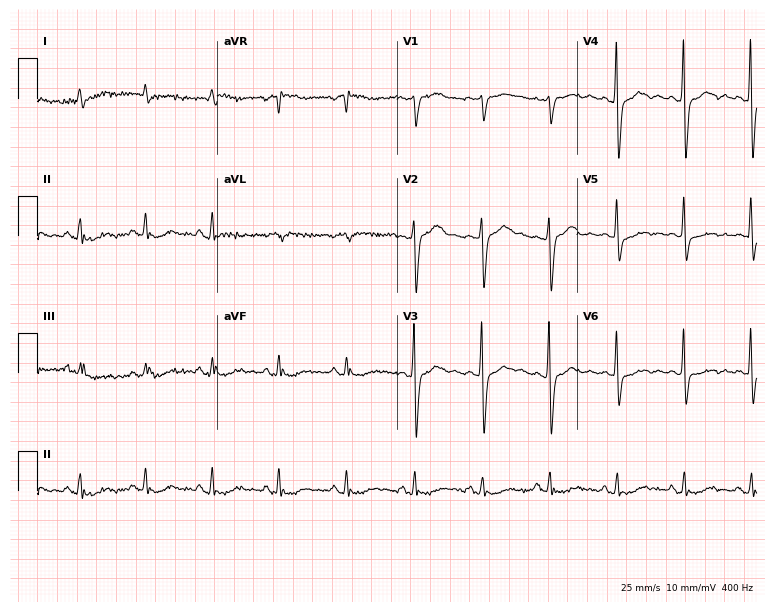
12-lead ECG from a female patient, 82 years old. No first-degree AV block, right bundle branch block (RBBB), left bundle branch block (LBBB), sinus bradycardia, atrial fibrillation (AF) or sinus tachycardia recorded for this tracing.